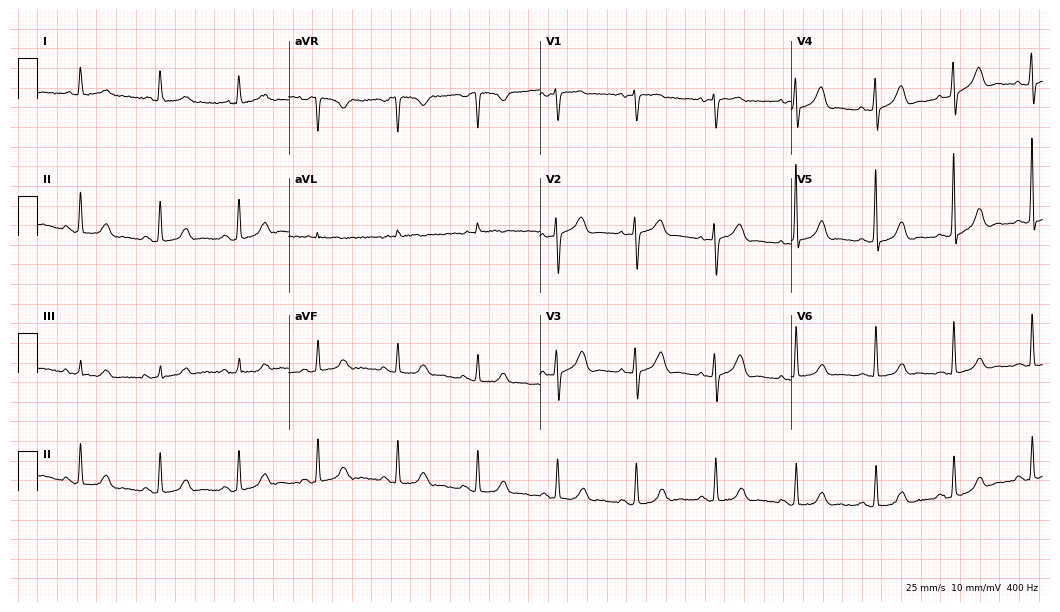
Electrocardiogram (10.2-second recording at 400 Hz), a female, 83 years old. Overall reading on record: normal ECG.